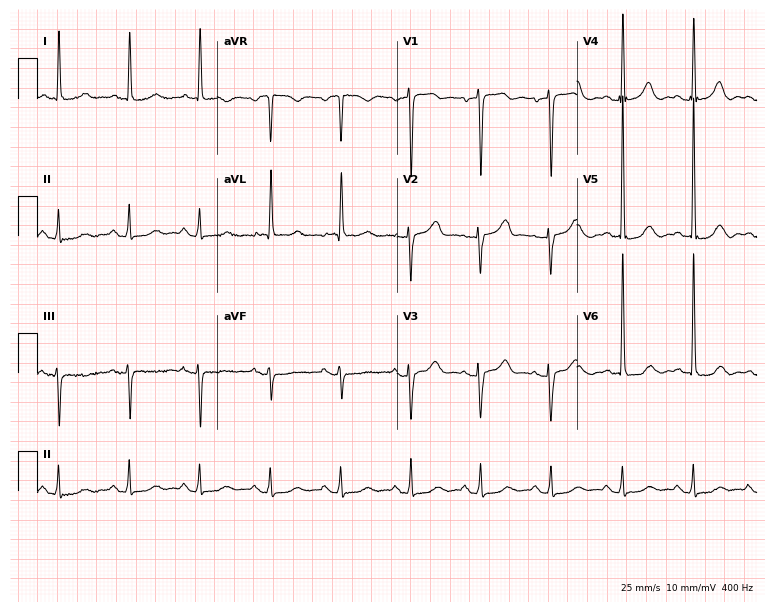
Resting 12-lead electrocardiogram (7.3-second recording at 400 Hz). Patient: an 82-year-old male. None of these six findings is recorded: first-degree AV block, right bundle branch block, left bundle branch block, sinus bradycardia, atrial fibrillation, sinus tachycardia. Other findings, if any, are not listed.